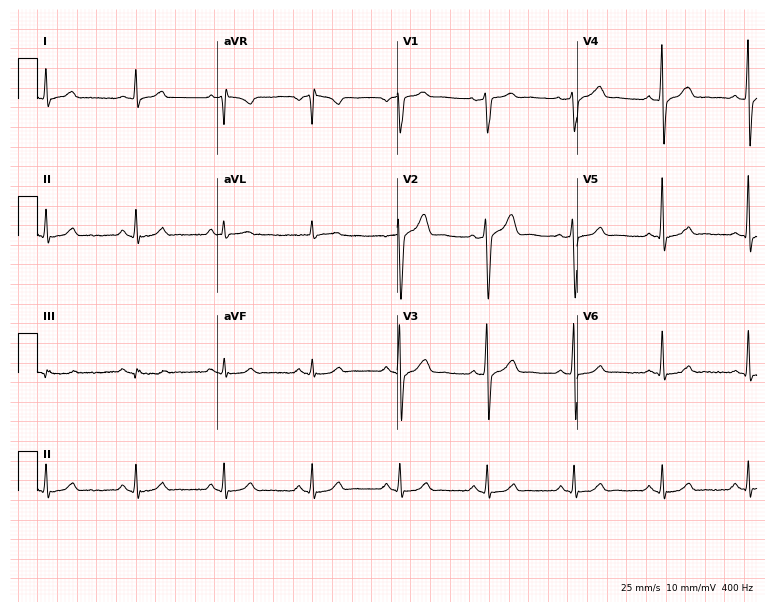
Electrocardiogram, a male patient, 52 years old. Of the six screened findings (first-degree AV block, right bundle branch block, left bundle branch block, sinus bradycardia, atrial fibrillation, sinus tachycardia), none is recorded.